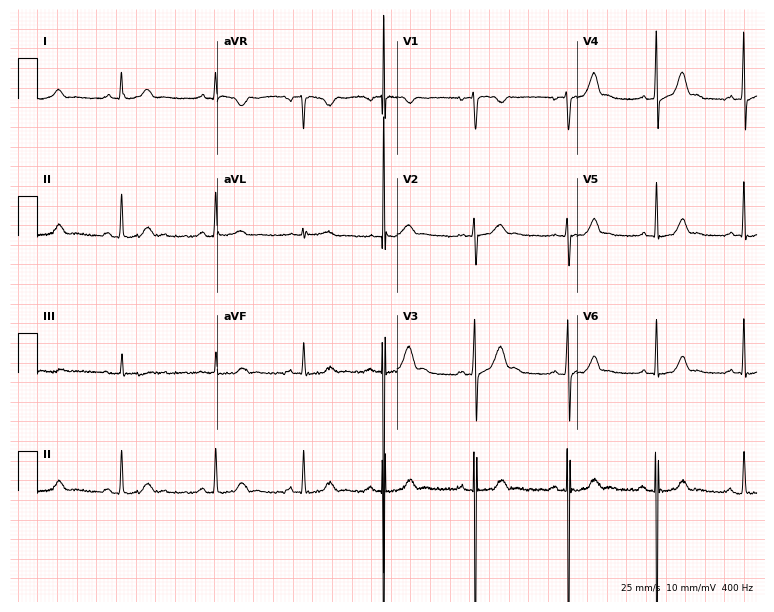
Electrocardiogram (7.3-second recording at 400 Hz), a female, 17 years old. Overall reading on record: normal ECG.